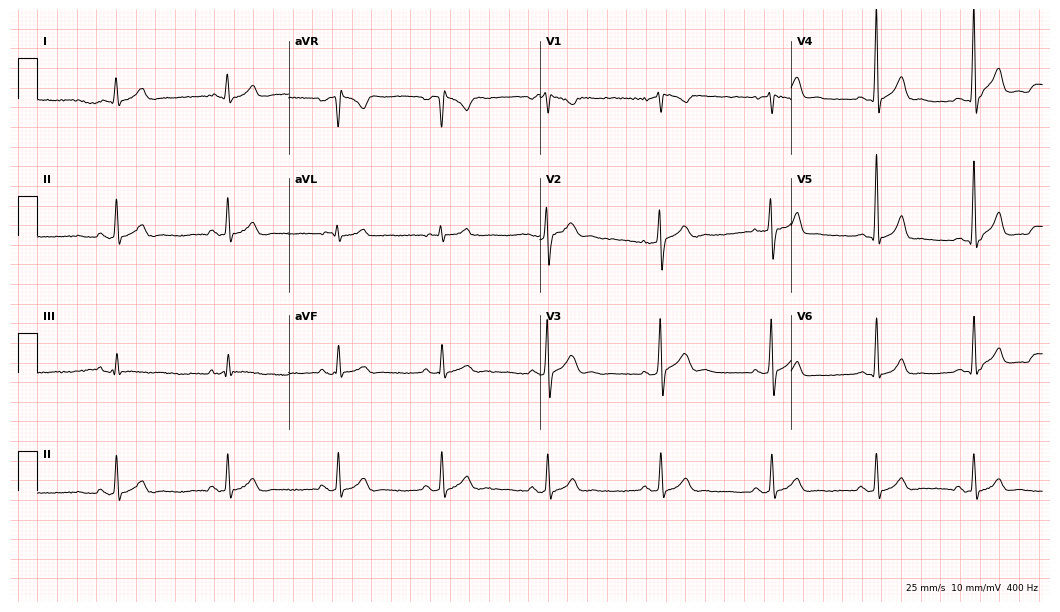
12-lead ECG from a 34-year-old male. Labelled as a normal ECG.